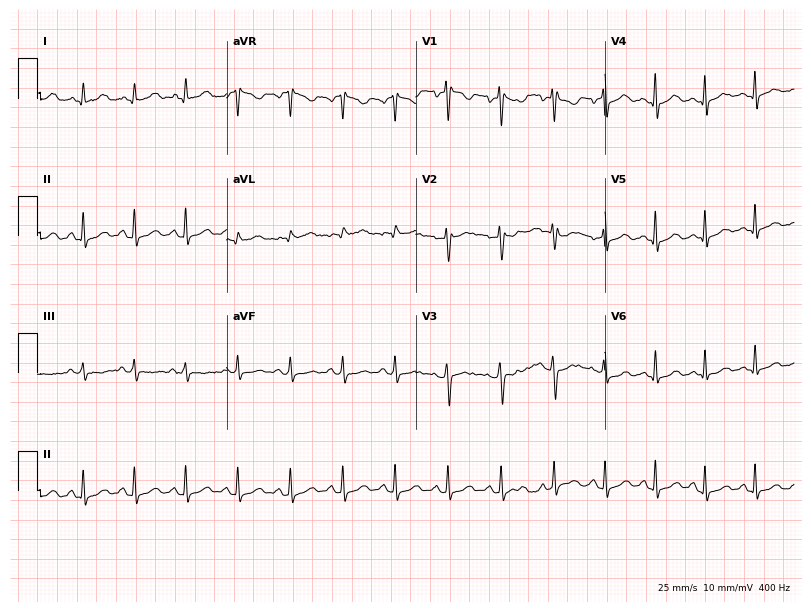
Resting 12-lead electrocardiogram. Patient: a 24-year-old woman. The tracing shows sinus tachycardia (a sinus rate of 100 beats per minute or more).